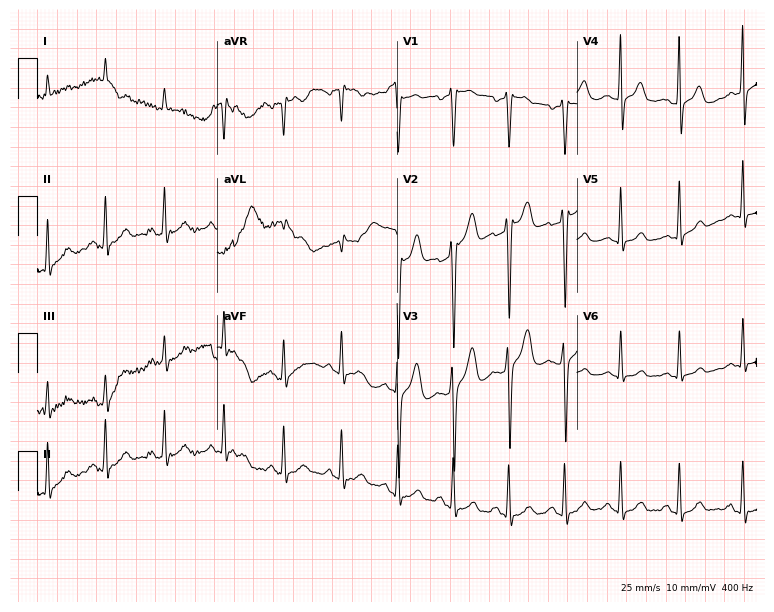
Electrocardiogram (7.3-second recording at 400 Hz), a 32-year-old male patient. Of the six screened findings (first-degree AV block, right bundle branch block (RBBB), left bundle branch block (LBBB), sinus bradycardia, atrial fibrillation (AF), sinus tachycardia), none is recorded.